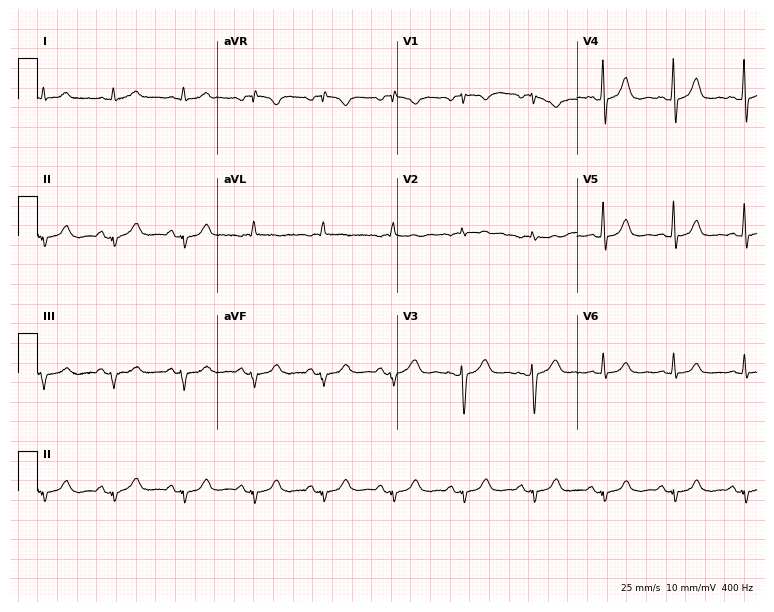
12-lead ECG (7.3-second recording at 400 Hz) from a man, 82 years old. Screened for six findings — first-degree AV block, right bundle branch block (RBBB), left bundle branch block (LBBB), sinus bradycardia, atrial fibrillation (AF), sinus tachycardia — none is recorded. Findings outside these six are not listed.